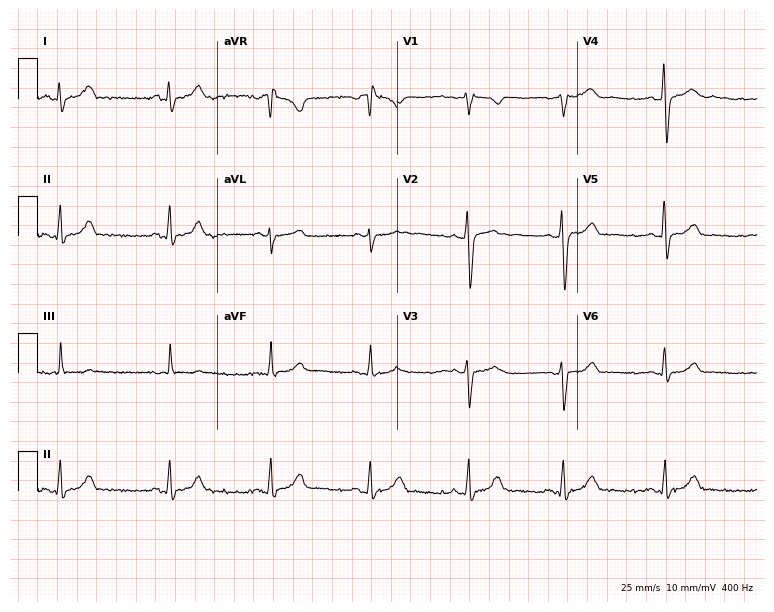
12-lead ECG from a 33-year-old female patient. Labelled as a normal ECG.